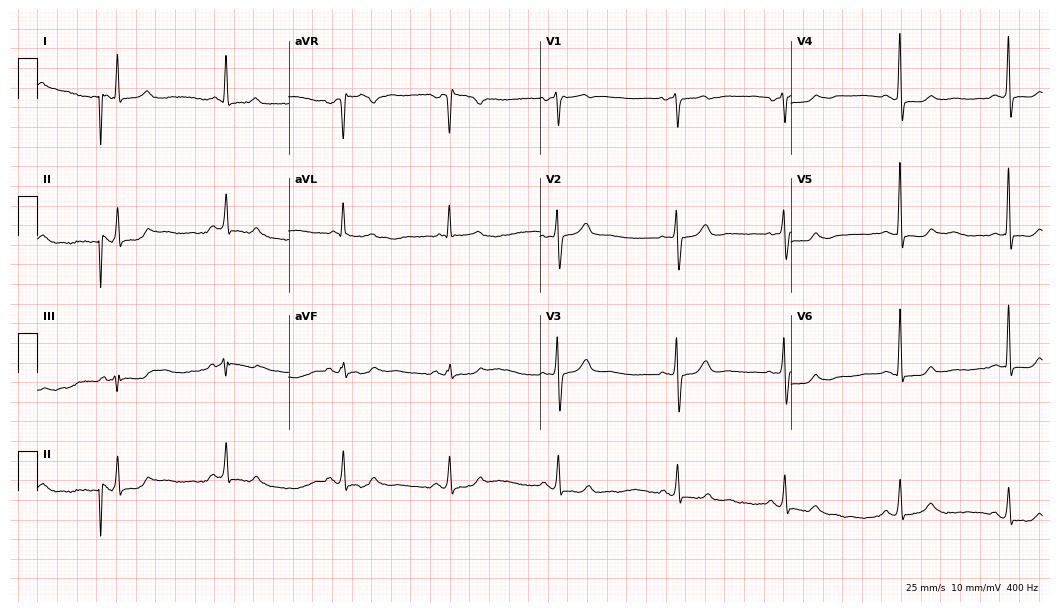
12-lead ECG from a woman, 67 years old (10.2-second recording at 400 Hz). No first-degree AV block, right bundle branch block (RBBB), left bundle branch block (LBBB), sinus bradycardia, atrial fibrillation (AF) or sinus tachycardia recorded for this tracing. Other findings, if any, are not listed.